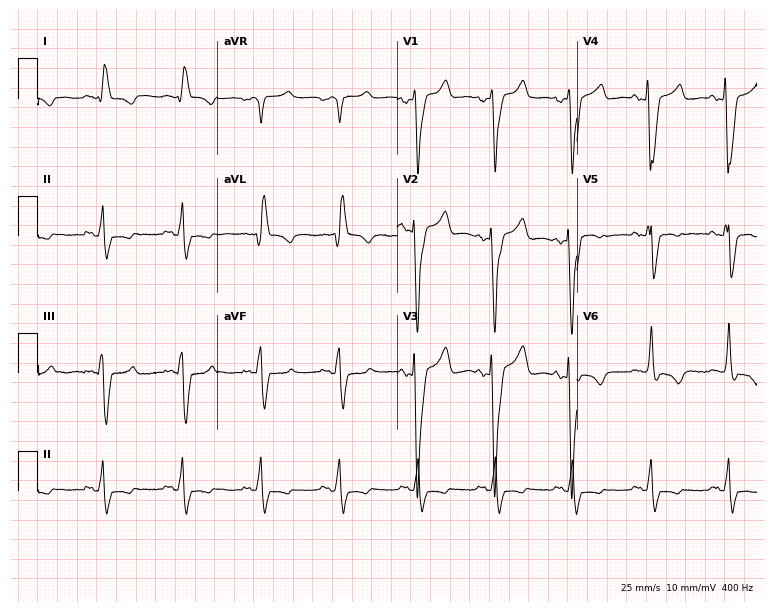
Electrocardiogram (7.3-second recording at 400 Hz), a 53-year-old male patient. Interpretation includes left bundle branch block.